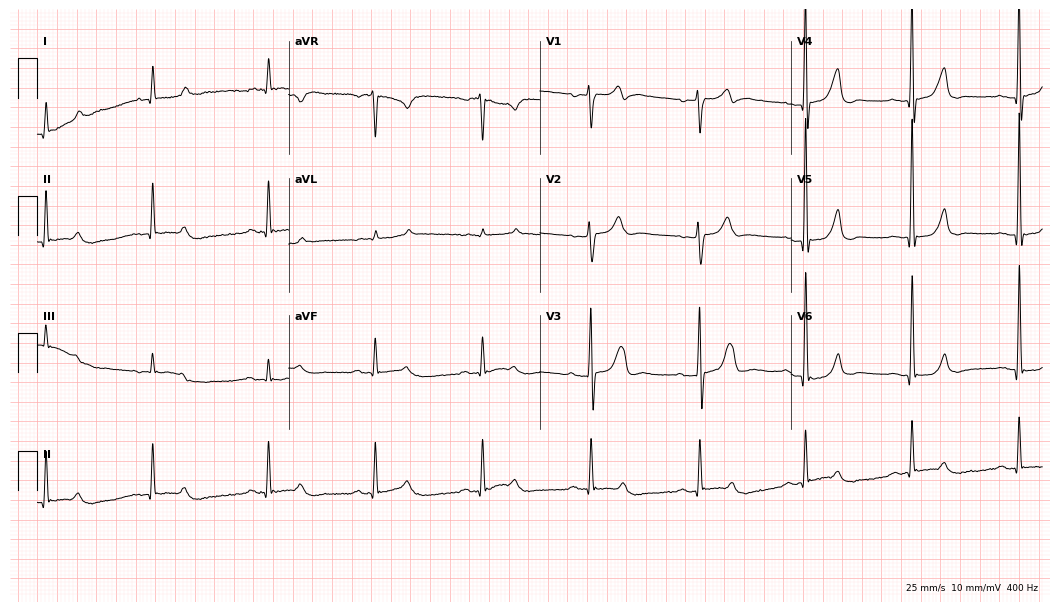
12-lead ECG from an 80-year-old male. Recorded interpretation: within normal limits.